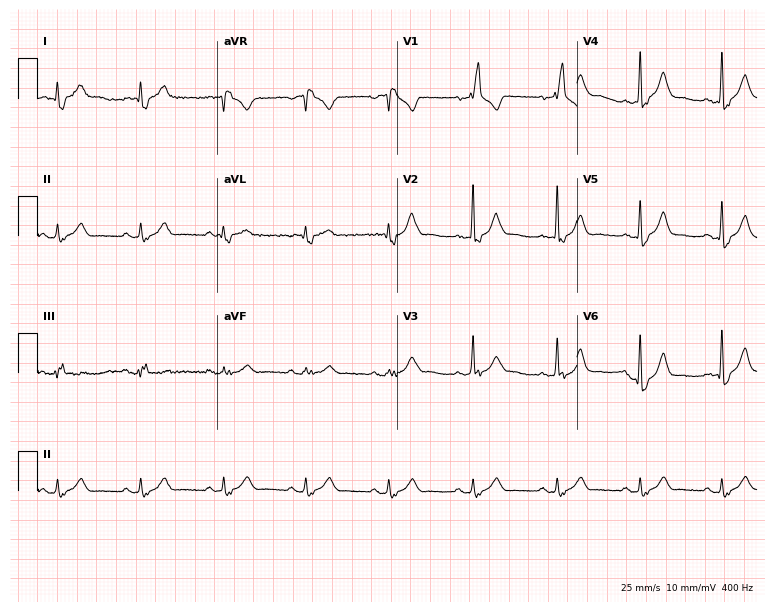
12-lead ECG from a man, 69 years old. Shows right bundle branch block.